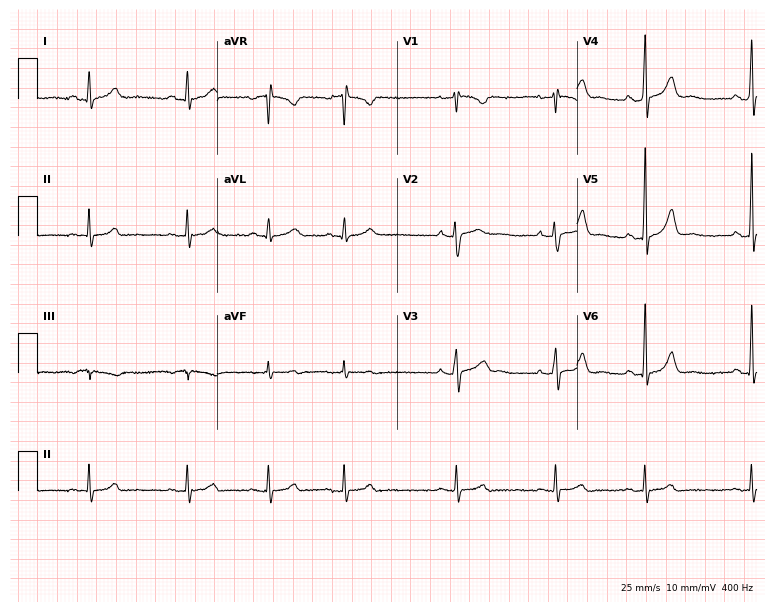
12-lead ECG from a 27-year-old female patient (7.3-second recording at 400 Hz). Recorded interpretation: within normal limits.